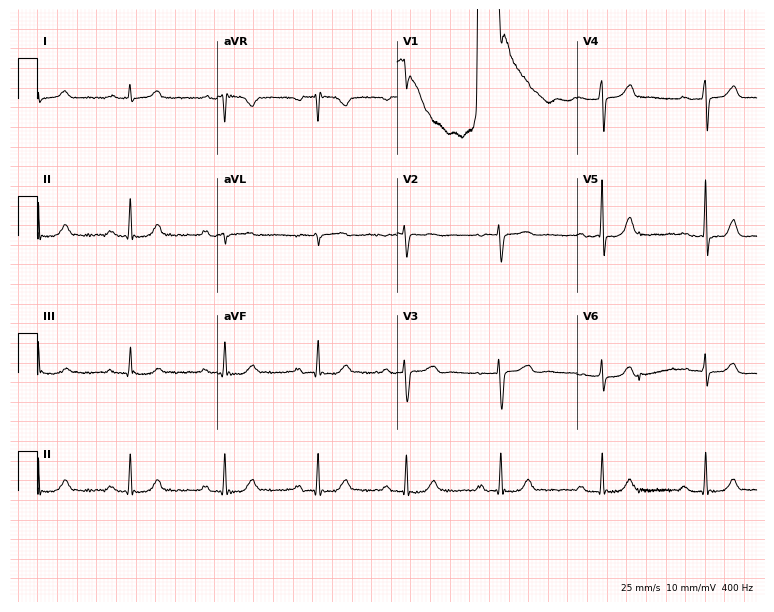
Resting 12-lead electrocardiogram. Patient: a 46-year-old female. Read as a normal ECG.